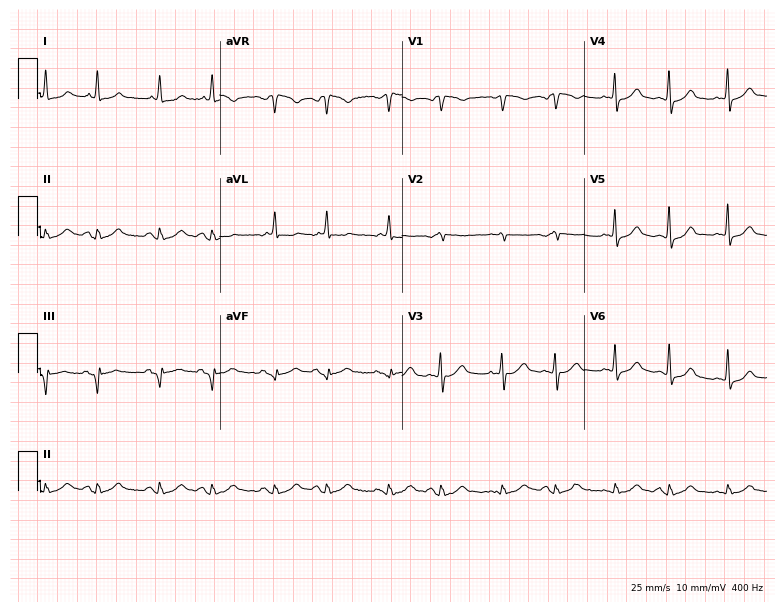
Resting 12-lead electrocardiogram. Patient: a female, 59 years old. The tracing shows sinus tachycardia (a sinus rate of 100 beats per minute or more).